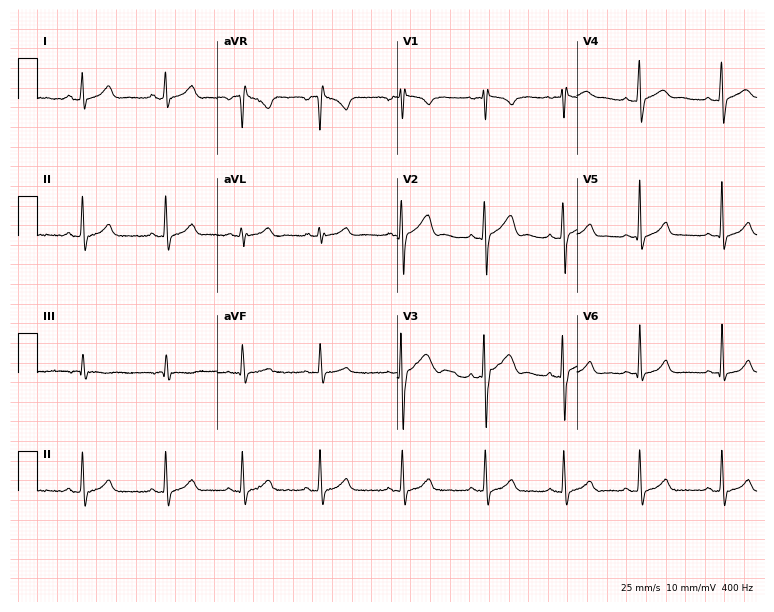
12-lead ECG from a 23-year-old female patient. Screened for six findings — first-degree AV block, right bundle branch block, left bundle branch block, sinus bradycardia, atrial fibrillation, sinus tachycardia — none is recorded. Other findings, if any, are not listed.